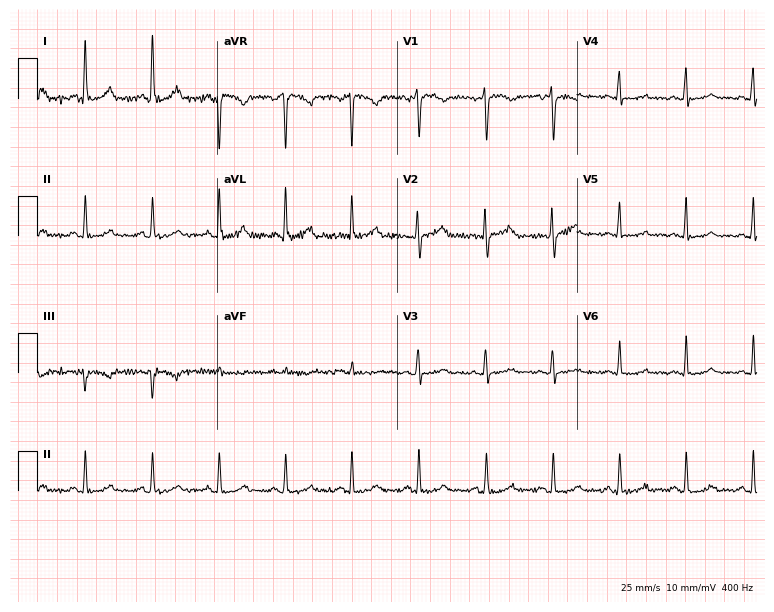
Electrocardiogram (7.3-second recording at 400 Hz), a woman, 43 years old. Overall reading on record: normal ECG.